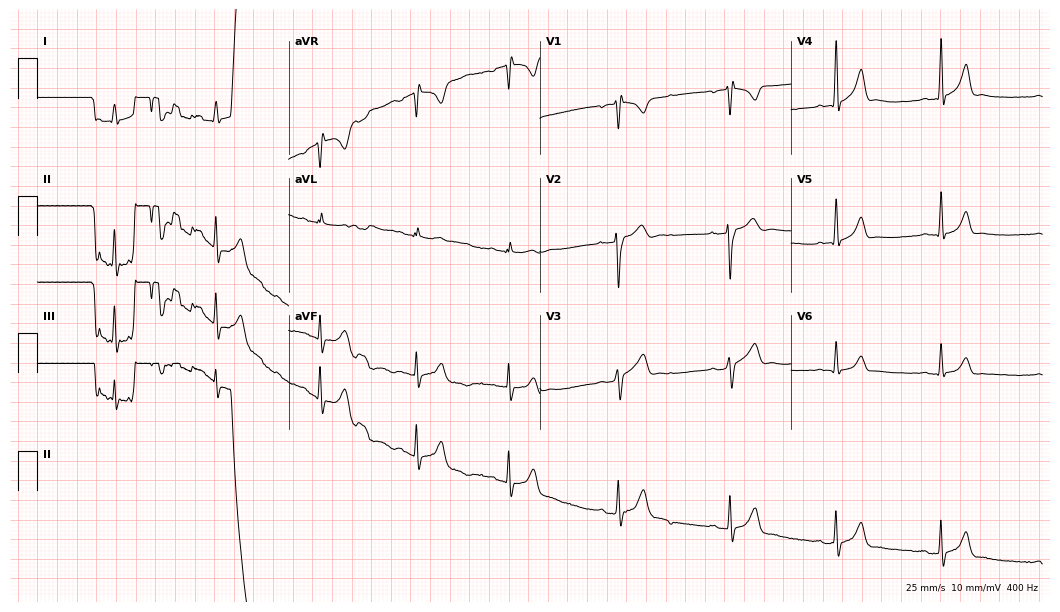
12-lead ECG from a male, 20 years old. Screened for six findings — first-degree AV block, right bundle branch block, left bundle branch block, sinus bradycardia, atrial fibrillation, sinus tachycardia — none is recorded. Findings outside these six are not listed.